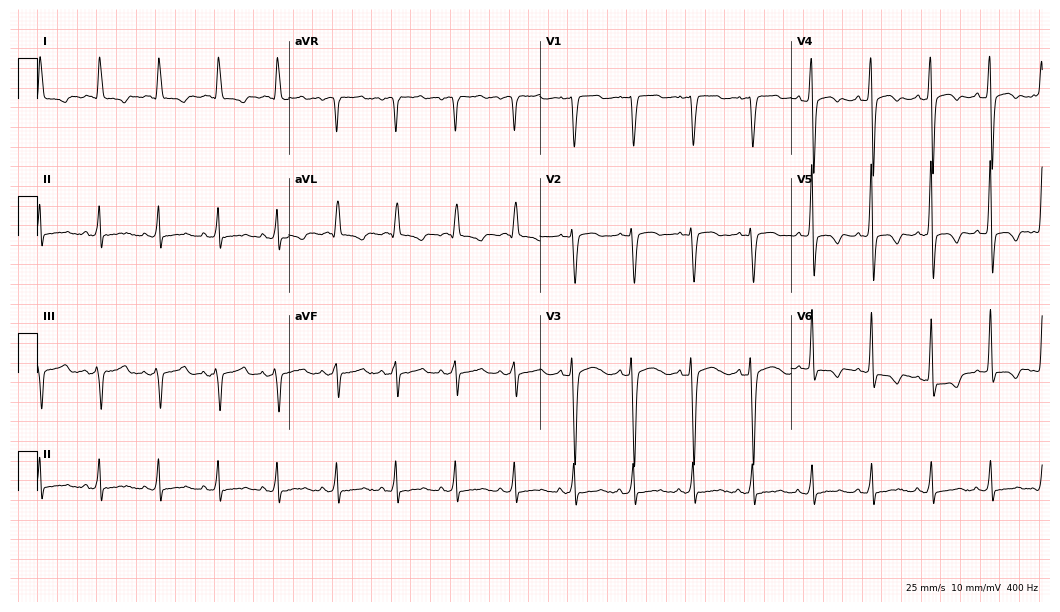
12-lead ECG from a 59-year-old man (10.2-second recording at 400 Hz). No first-degree AV block, right bundle branch block, left bundle branch block, sinus bradycardia, atrial fibrillation or sinus tachycardia recorded for this tracing.